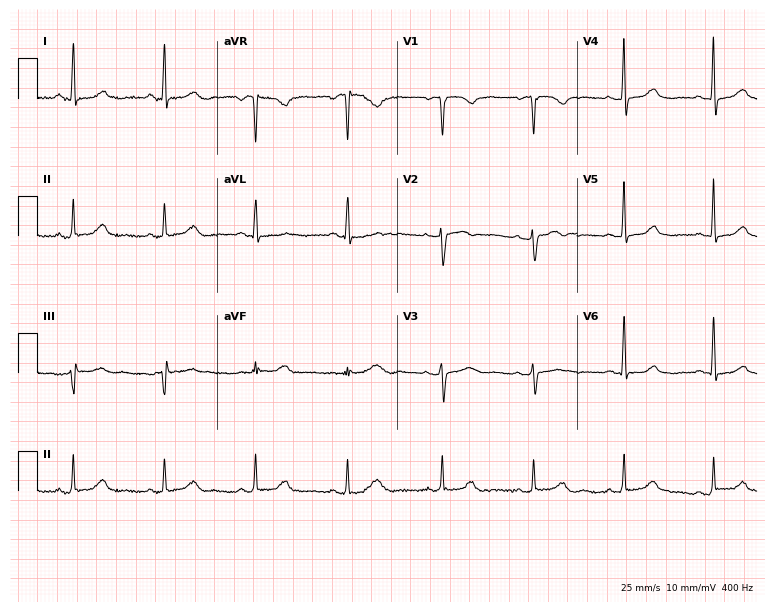
ECG (7.3-second recording at 400 Hz) — a female patient, 58 years old. Labelled as a normal ECG.